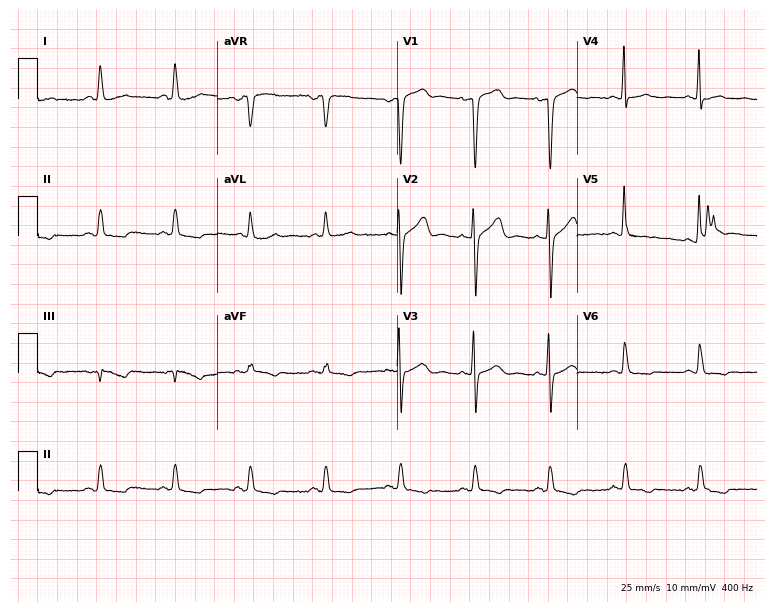
Standard 12-lead ECG recorded from a 71-year-old male. None of these six findings is recorded: first-degree AV block, right bundle branch block, left bundle branch block, sinus bradycardia, atrial fibrillation, sinus tachycardia.